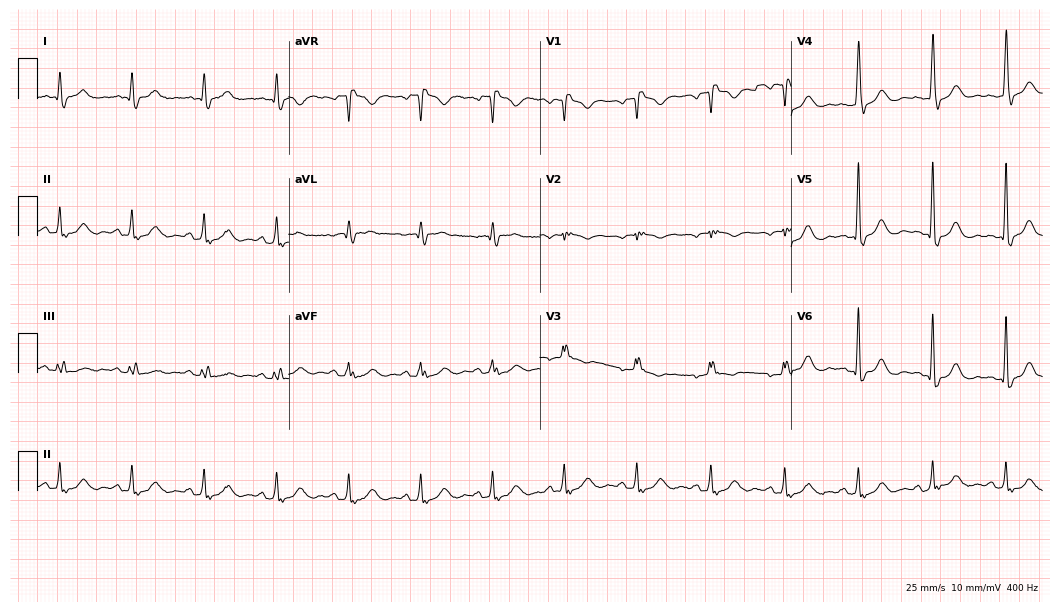
12-lead ECG from a 77-year-old male patient (10.2-second recording at 400 Hz). No first-degree AV block, right bundle branch block, left bundle branch block, sinus bradycardia, atrial fibrillation or sinus tachycardia recorded for this tracing. Only these six findings were labelled.